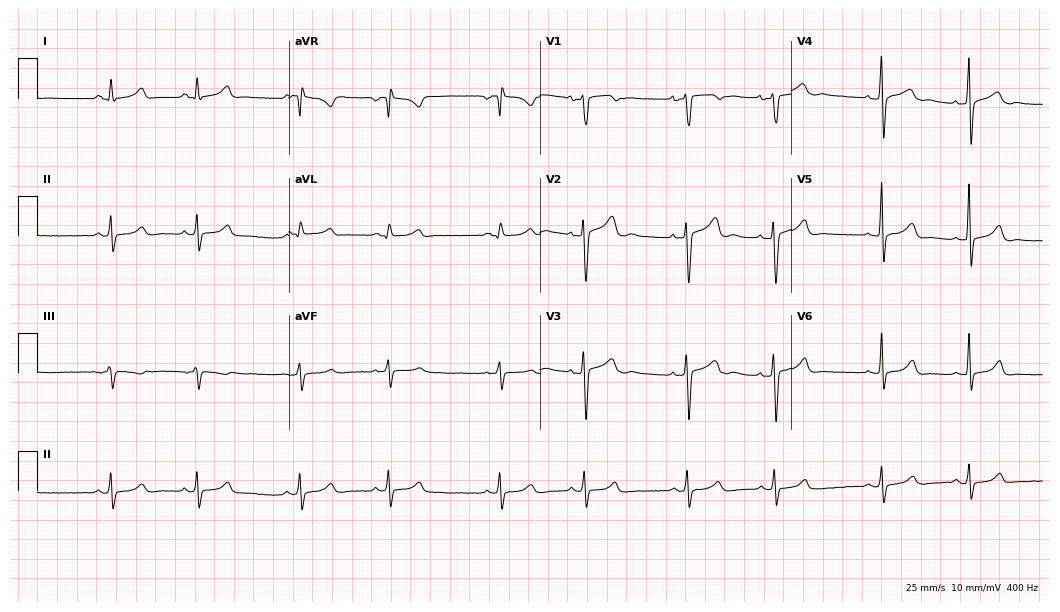
Standard 12-lead ECG recorded from a woman, 25 years old. Read as a normal ECG.